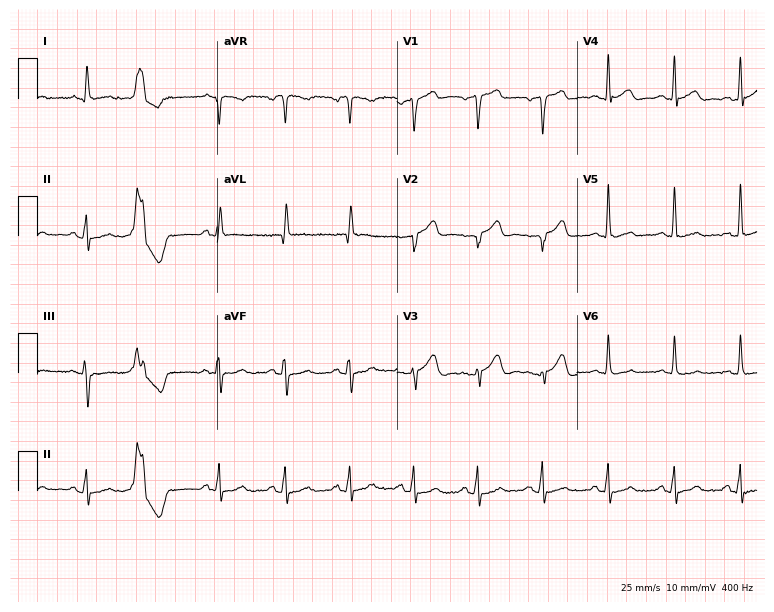
12-lead ECG (7.3-second recording at 400 Hz) from a 73-year-old man. Screened for six findings — first-degree AV block, right bundle branch block (RBBB), left bundle branch block (LBBB), sinus bradycardia, atrial fibrillation (AF), sinus tachycardia — none is recorded.